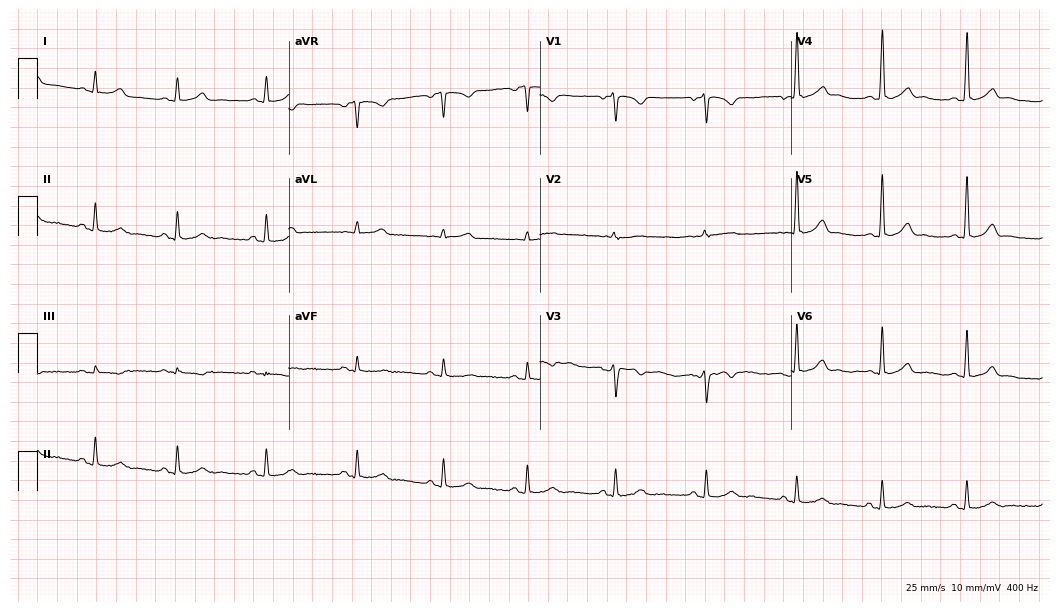
12-lead ECG from a female, 24 years old. Screened for six findings — first-degree AV block, right bundle branch block, left bundle branch block, sinus bradycardia, atrial fibrillation, sinus tachycardia — none is recorded. Findings outside these six are not listed.